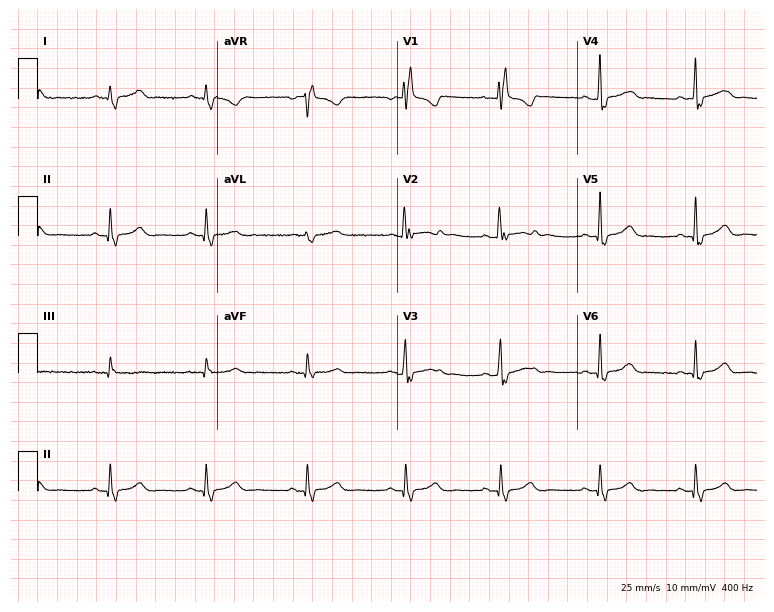
12-lead ECG from a woman, 40 years old. Findings include right bundle branch block.